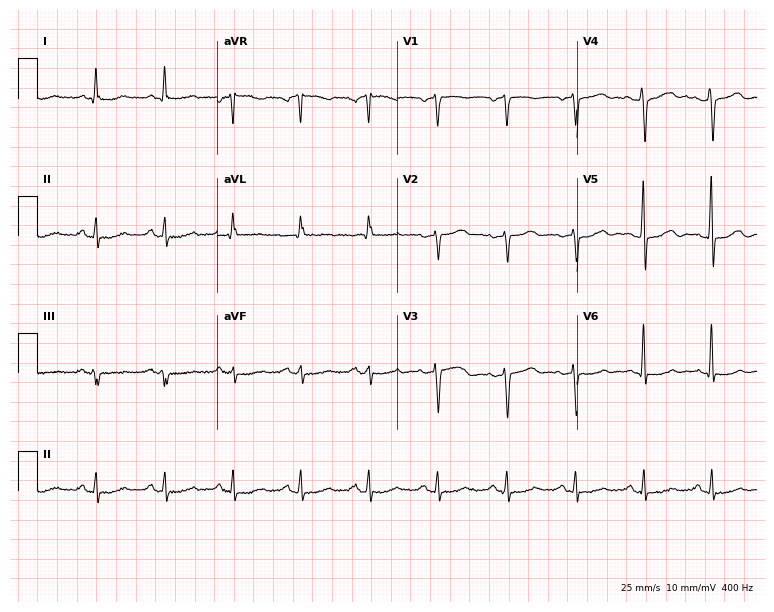
Resting 12-lead electrocardiogram. Patient: a 73-year-old male. None of these six findings is recorded: first-degree AV block, right bundle branch block, left bundle branch block, sinus bradycardia, atrial fibrillation, sinus tachycardia. Findings outside these six are not listed.